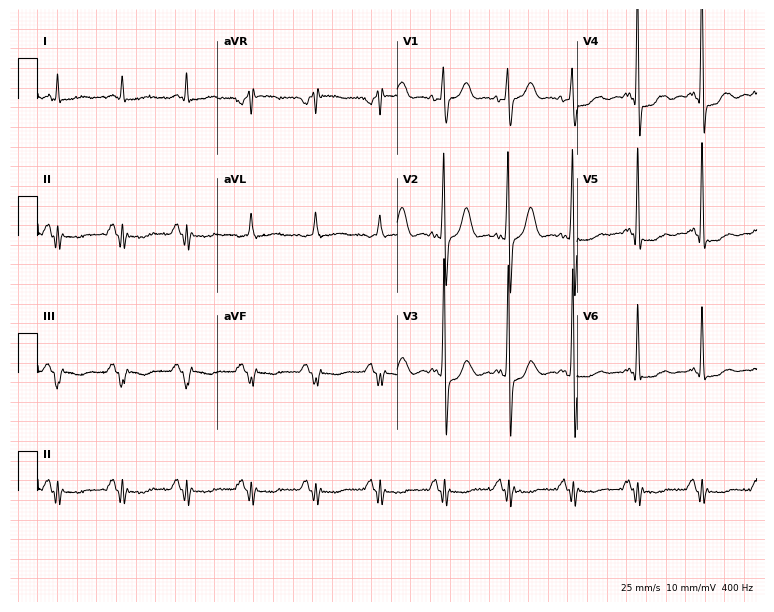
Standard 12-lead ECG recorded from a 75-year-old male patient. None of these six findings is recorded: first-degree AV block, right bundle branch block (RBBB), left bundle branch block (LBBB), sinus bradycardia, atrial fibrillation (AF), sinus tachycardia.